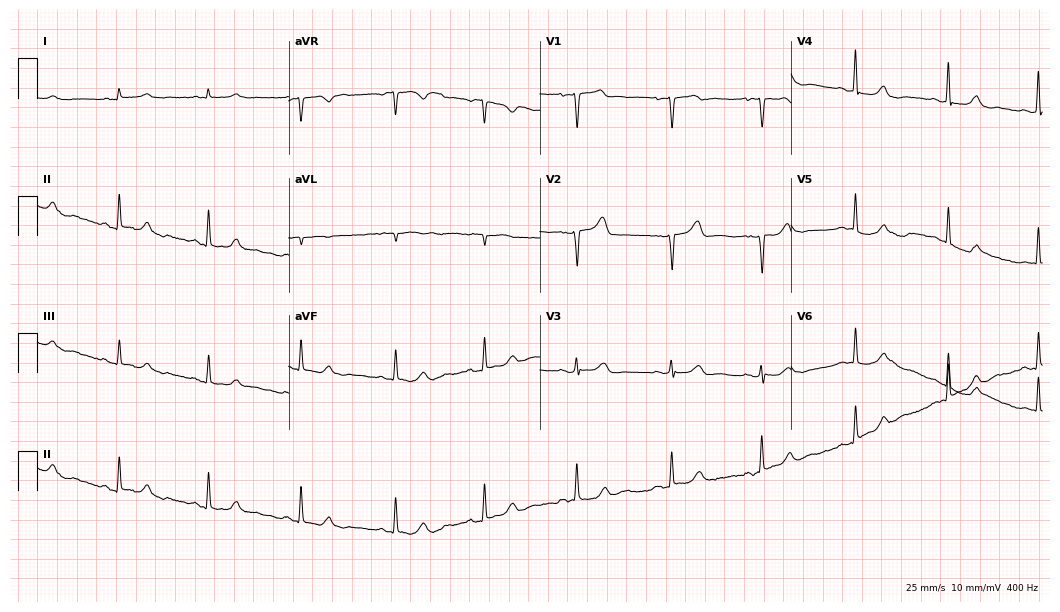
Standard 12-lead ECG recorded from an 84-year-old female (10.2-second recording at 400 Hz). Read as a normal ECG.